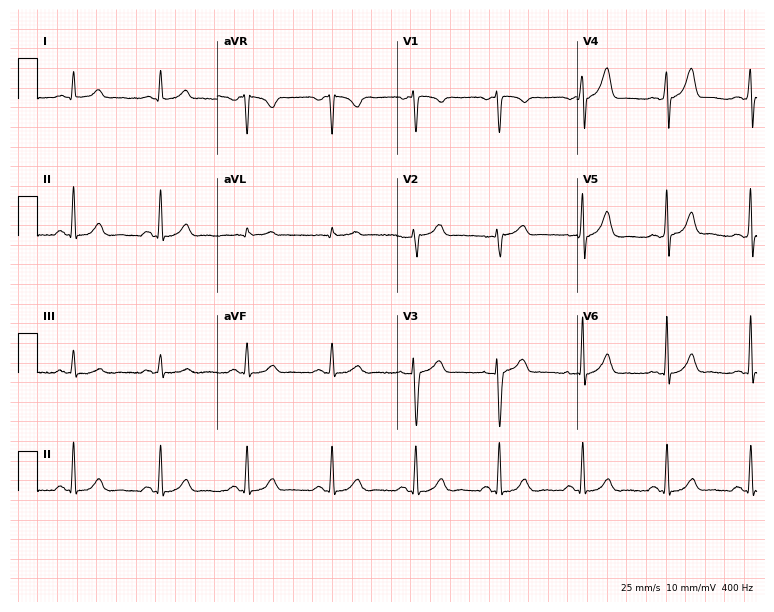
ECG (7.3-second recording at 400 Hz) — a 56-year-old man. Labelled as a normal ECG.